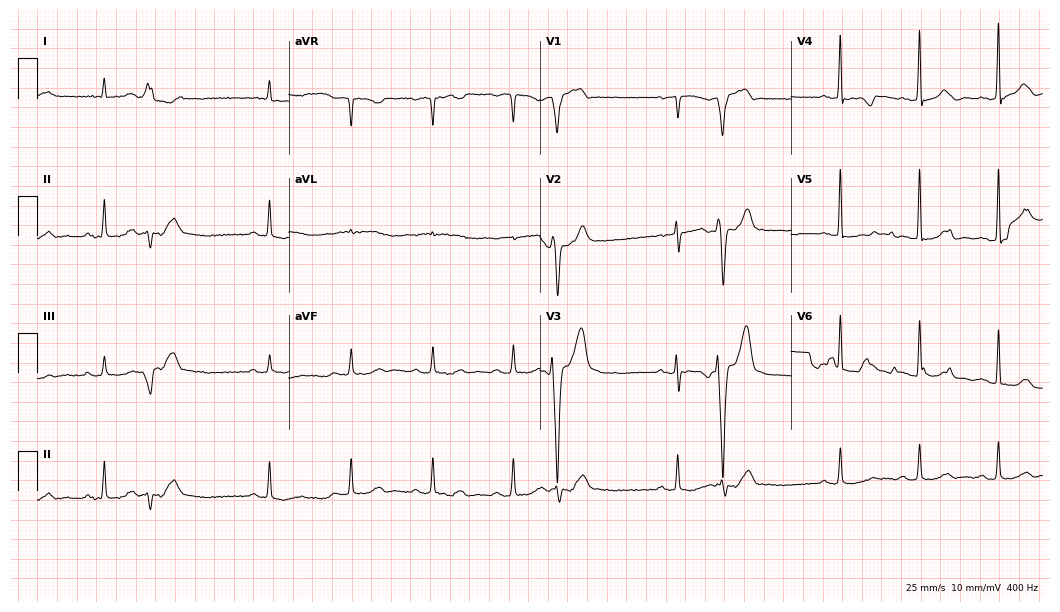
ECG — an 82-year-old female patient. Screened for six findings — first-degree AV block, right bundle branch block, left bundle branch block, sinus bradycardia, atrial fibrillation, sinus tachycardia — none is recorded.